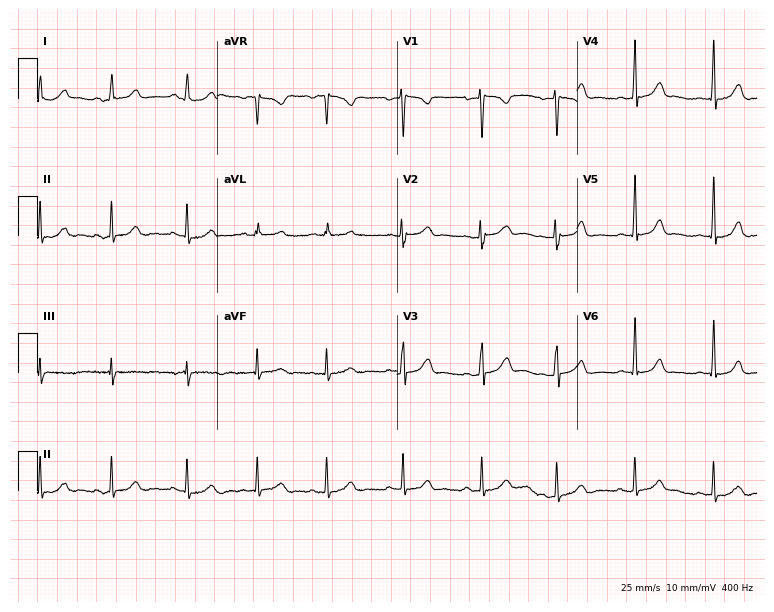
Standard 12-lead ECG recorded from a woman, 24 years old (7.3-second recording at 400 Hz). Read as a normal ECG.